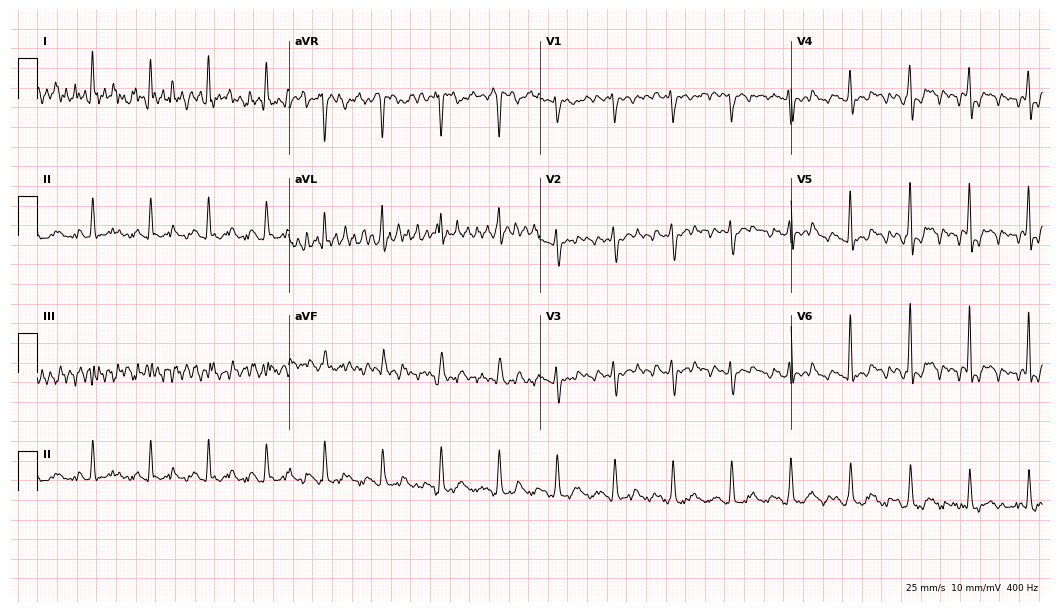
12-lead ECG from a 60-year-old male (10.2-second recording at 400 Hz). No first-degree AV block, right bundle branch block, left bundle branch block, sinus bradycardia, atrial fibrillation or sinus tachycardia recorded for this tracing. Findings outside these six are not listed.